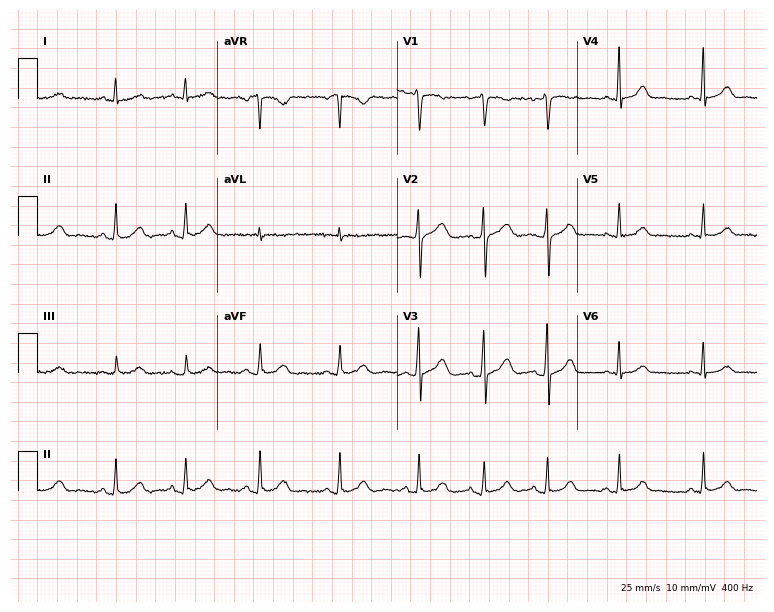
Electrocardiogram, a 42-year-old female patient. Overall reading on record: normal ECG.